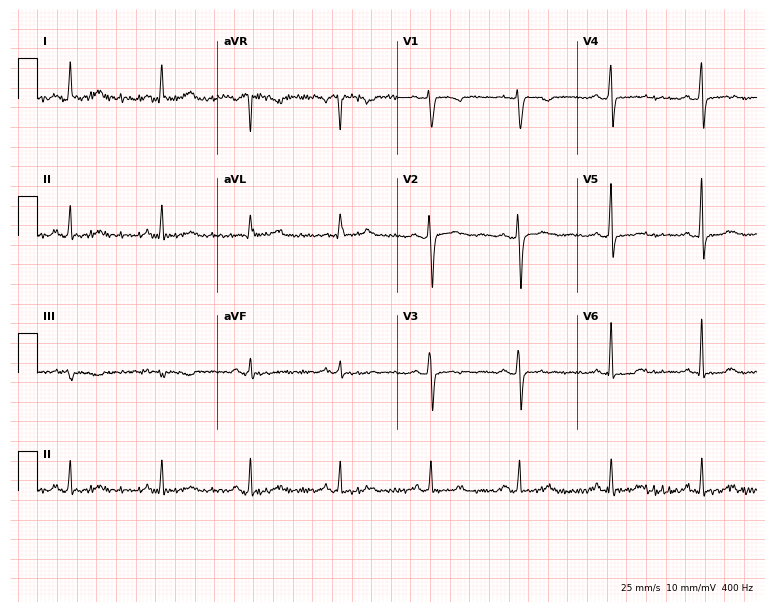
ECG (7.3-second recording at 400 Hz) — a woman, 49 years old. Screened for six findings — first-degree AV block, right bundle branch block (RBBB), left bundle branch block (LBBB), sinus bradycardia, atrial fibrillation (AF), sinus tachycardia — none is recorded. Findings outside these six are not listed.